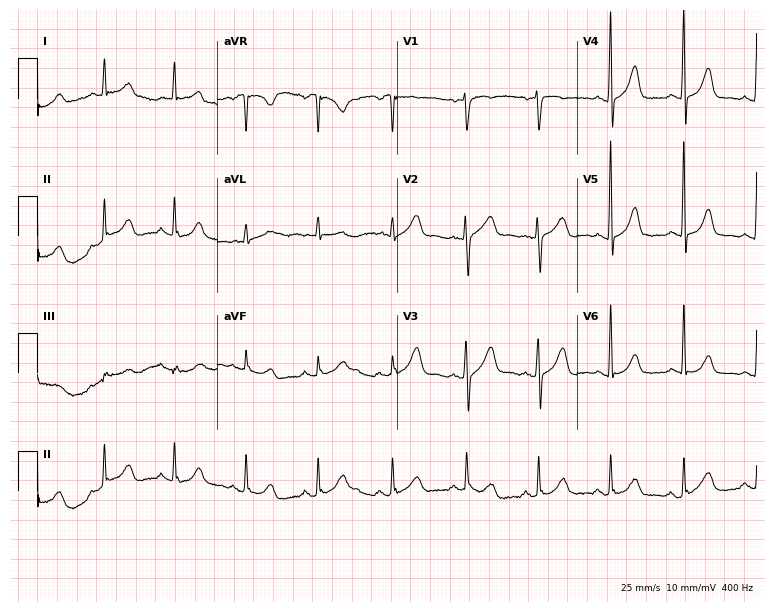
12-lead ECG from a 63-year-old female (7.3-second recording at 400 Hz). Recorded interpretation: within normal limits.